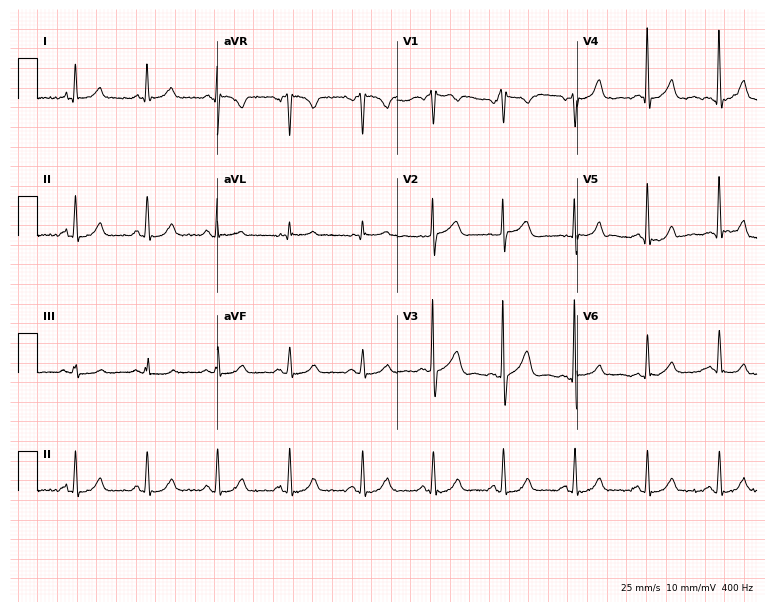
Electrocardiogram (7.3-second recording at 400 Hz), a male patient, 70 years old. Overall reading on record: normal ECG.